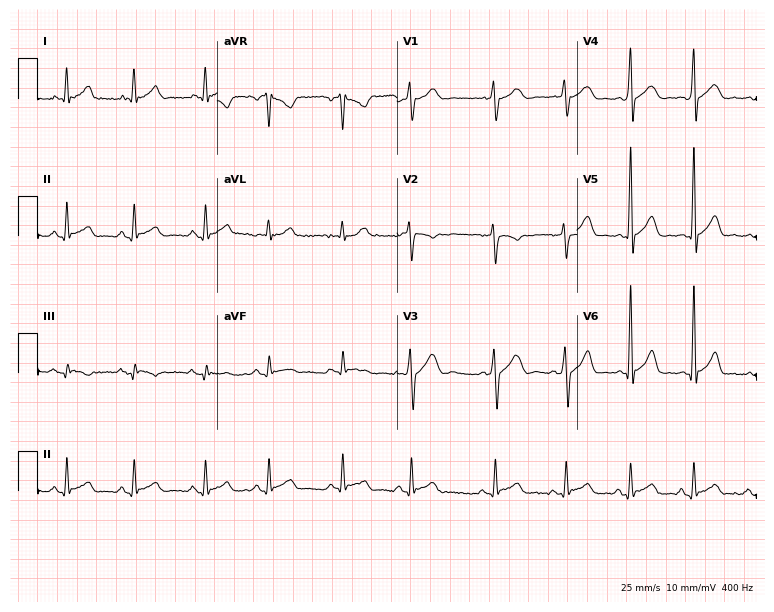
Electrocardiogram, a 24-year-old male. Of the six screened findings (first-degree AV block, right bundle branch block (RBBB), left bundle branch block (LBBB), sinus bradycardia, atrial fibrillation (AF), sinus tachycardia), none is recorded.